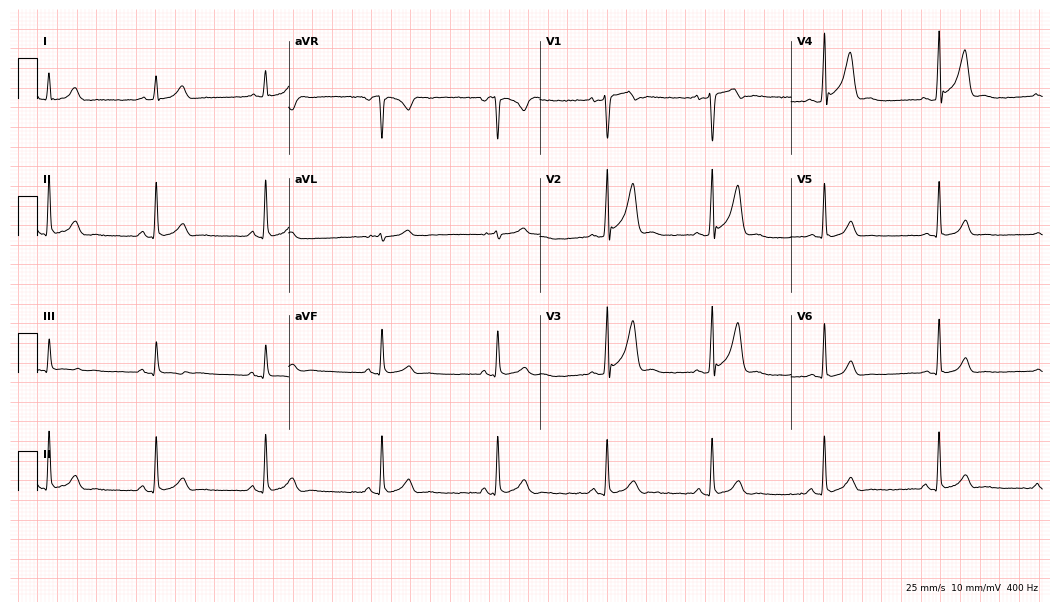
Resting 12-lead electrocardiogram (10.2-second recording at 400 Hz). Patient: a 22-year-old man. Read as a normal ECG.